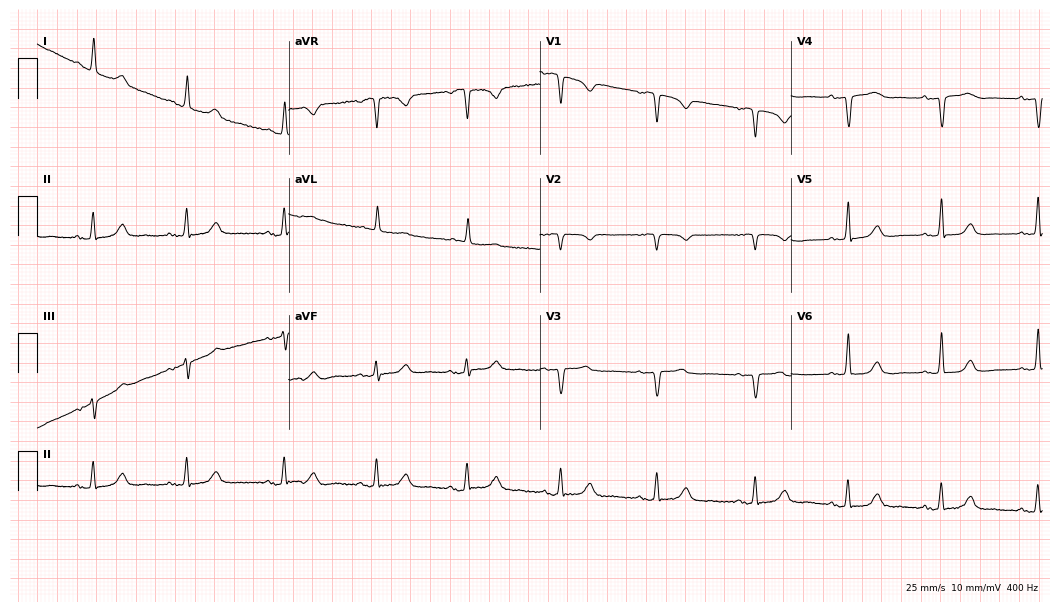
Resting 12-lead electrocardiogram (10.2-second recording at 400 Hz). Patient: an 81-year-old woman. Read as a normal ECG.